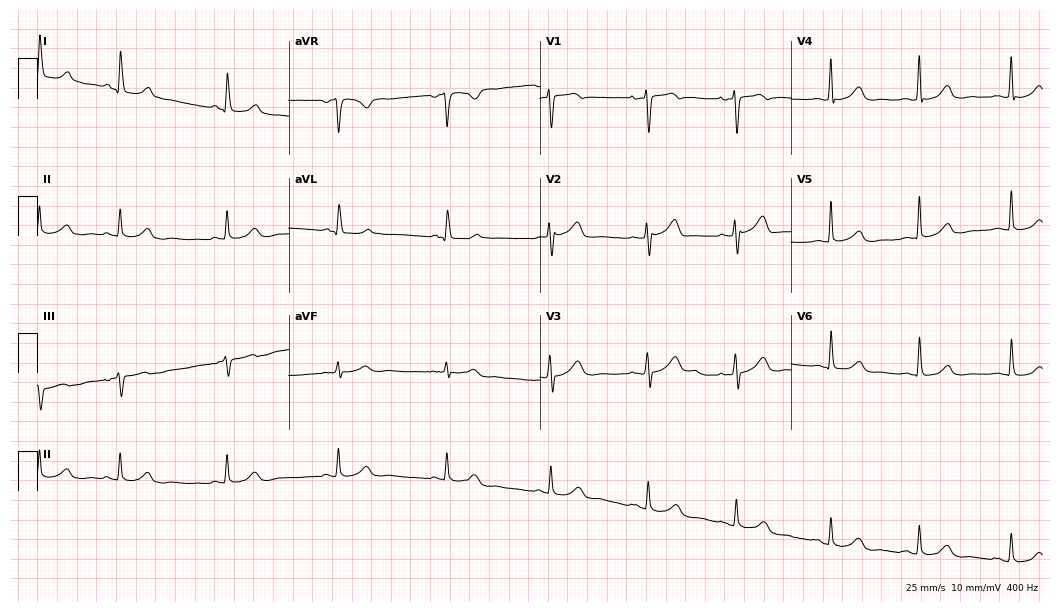
Electrocardiogram (10.2-second recording at 400 Hz), a 75-year-old woman. Of the six screened findings (first-degree AV block, right bundle branch block, left bundle branch block, sinus bradycardia, atrial fibrillation, sinus tachycardia), none is recorded.